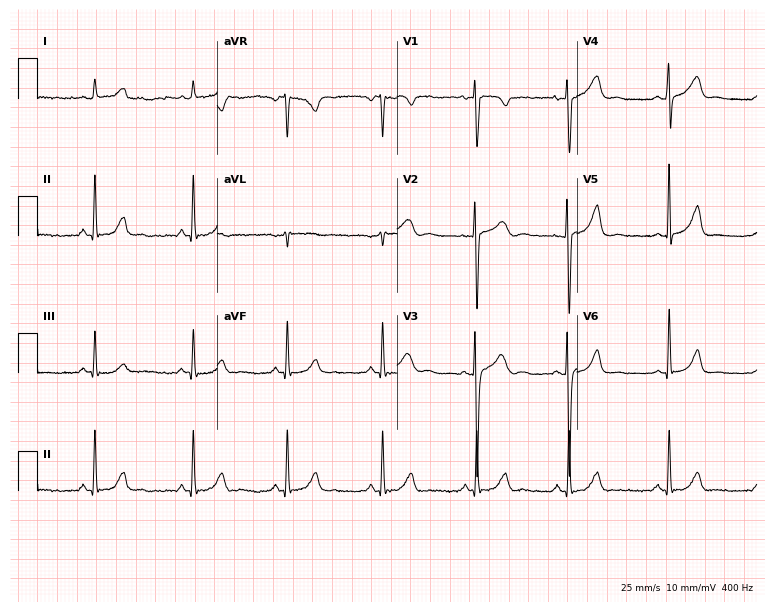
12-lead ECG (7.3-second recording at 400 Hz) from a woman, 27 years old. Labelled as a normal ECG.